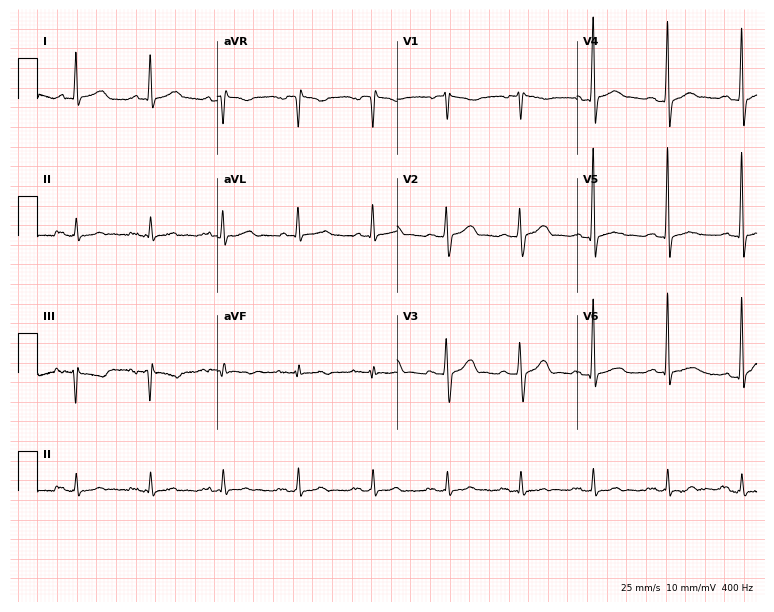
12-lead ECG (7.3-second recording at 400 Hz) from a 56-year-old male patient. Screened for six findings — first-degree AV block, right bundle branch block (RBBB), left bundle branch block (LBBB), sinus bradycardia, atrial fibrillation (AF), sinus tachycardia — none is recorded.